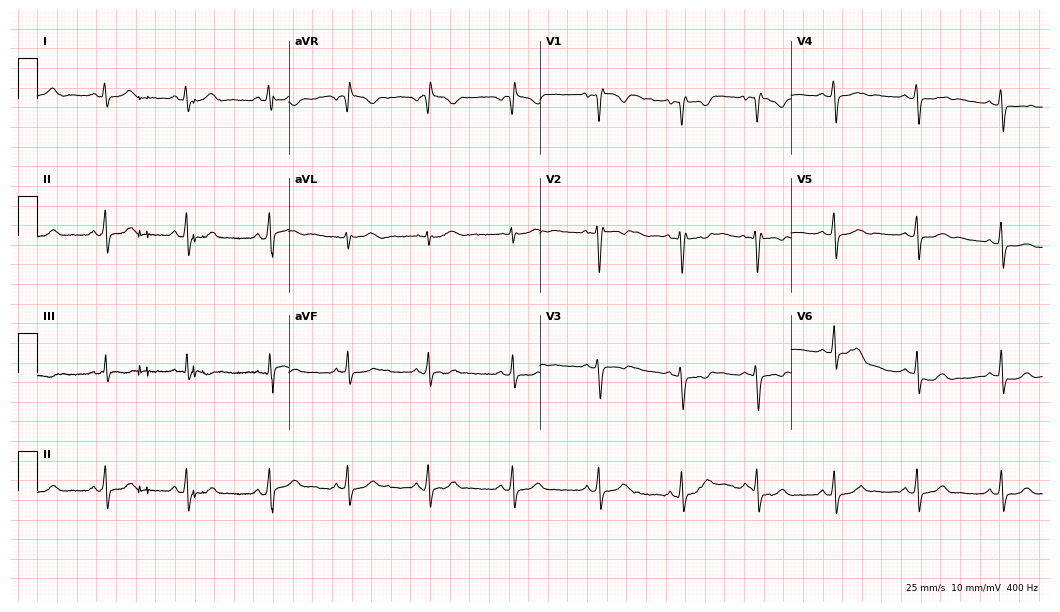
Resting 12-lead electrocardiogram. Patient: a female, 21 years old. None of these six findings is recorded: first-degree AV block, right bundle branch block, left bundle branch block, sinus bradycardia, atrial fibrillation, sinus tachycardia. Findings outside these six are not listed.